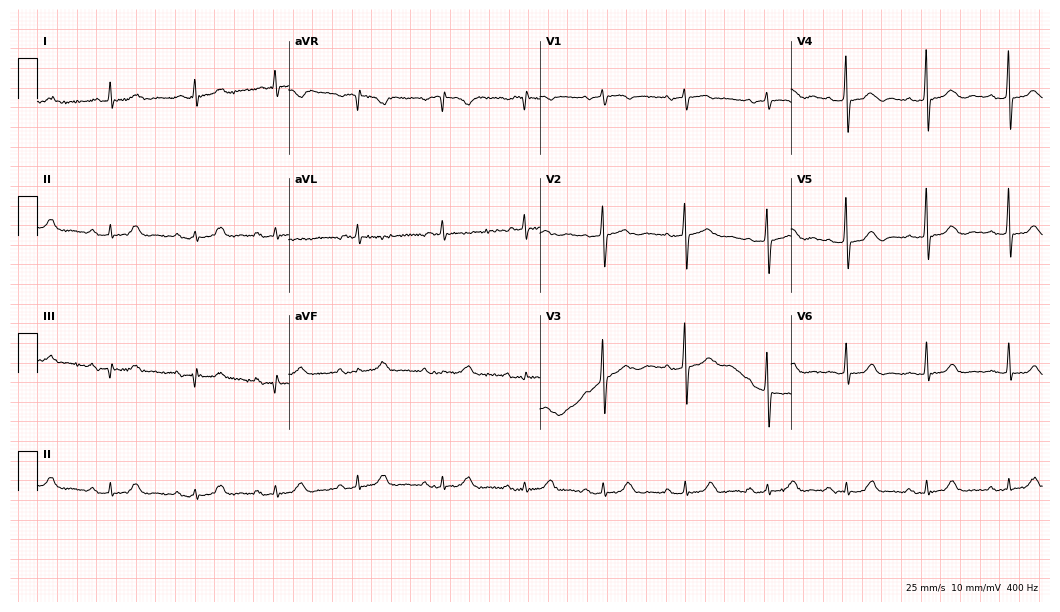
Electrocardiogram (10.2-second recording at 400 Hz), a female patient, 77 years old. Overall reading on record: normal ECG.